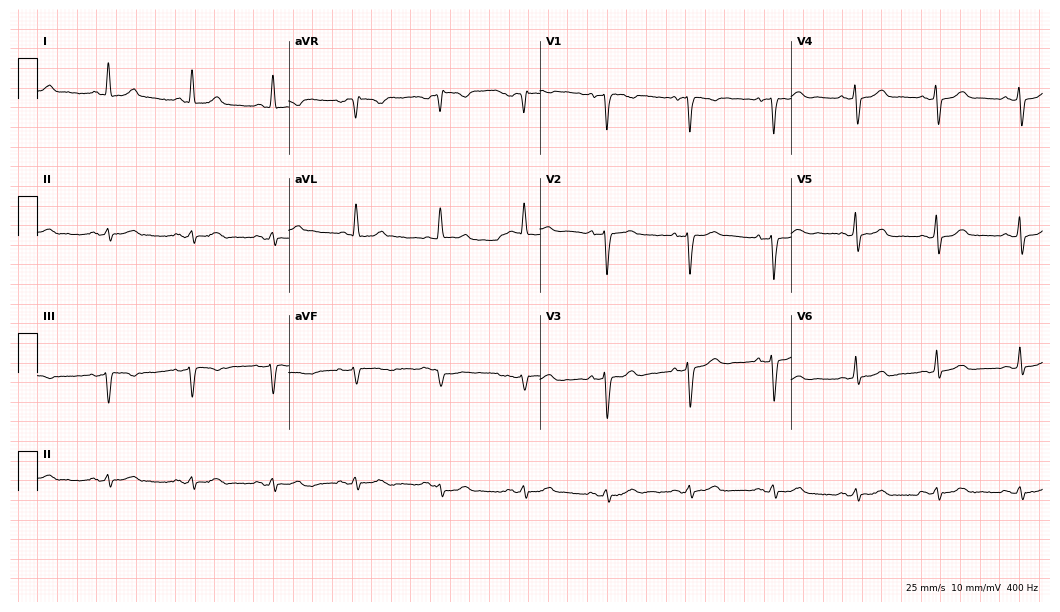
12-lead ECG from a woman, 67 years old. No first-degree AV block, right bundle branch block, left bundle branch block, sinus bradycardia, atrial fibrillation or sinus tachycardia recorded for this tracing. Other findings, if any, are not listed.